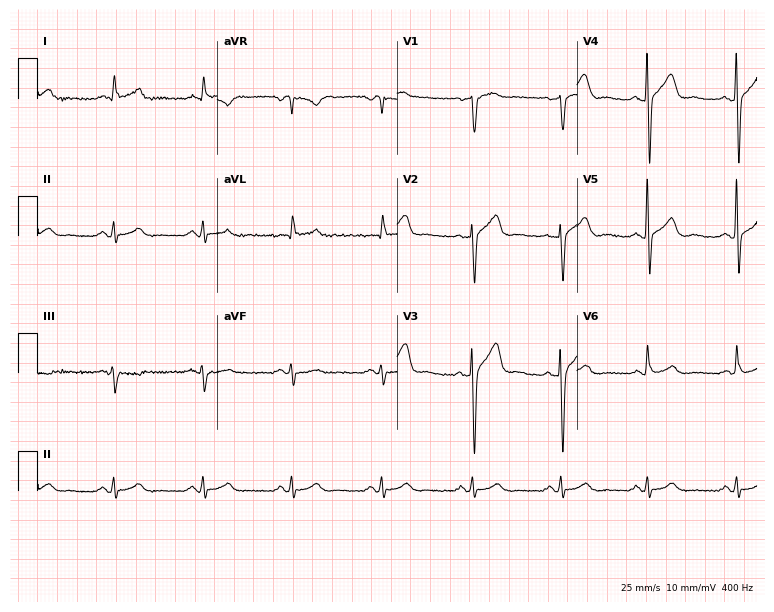
12-lead ECG from a male patient, 54 years old (7.3-second recording at 400 Hz). Recorded interpretation: within normal limits.